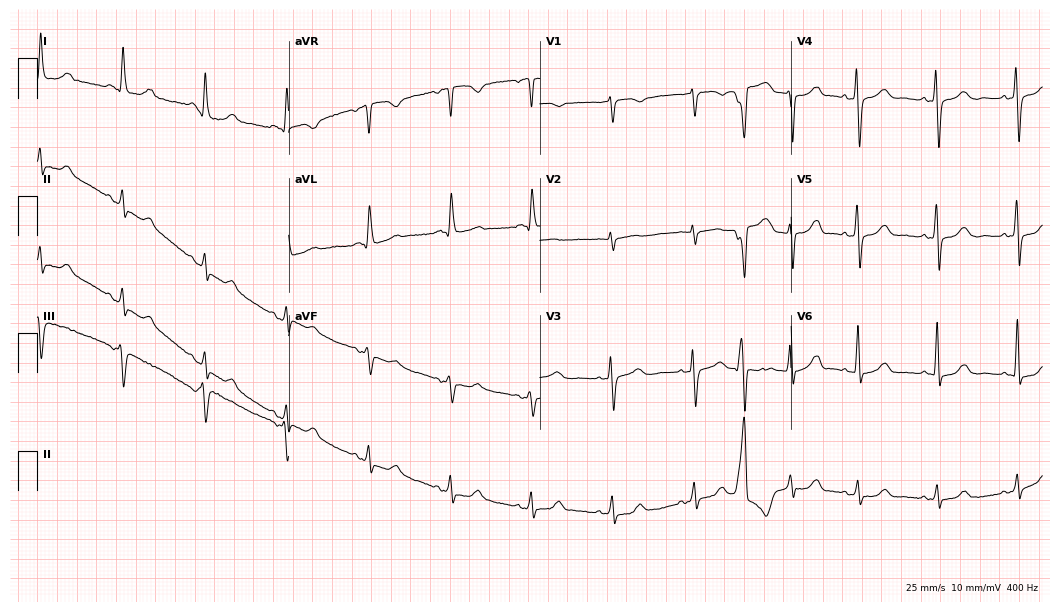
12-lead ECG (10.2-second recording at 400 Hz) from an 80-year-old female patient. Screened for six findings — first-degree AV block, right bundle branch block, left bundle branch block, sinus bradycardia, atrial fibrillation, sinus tachycardia — none is recorded. Only these six findings were labelled.